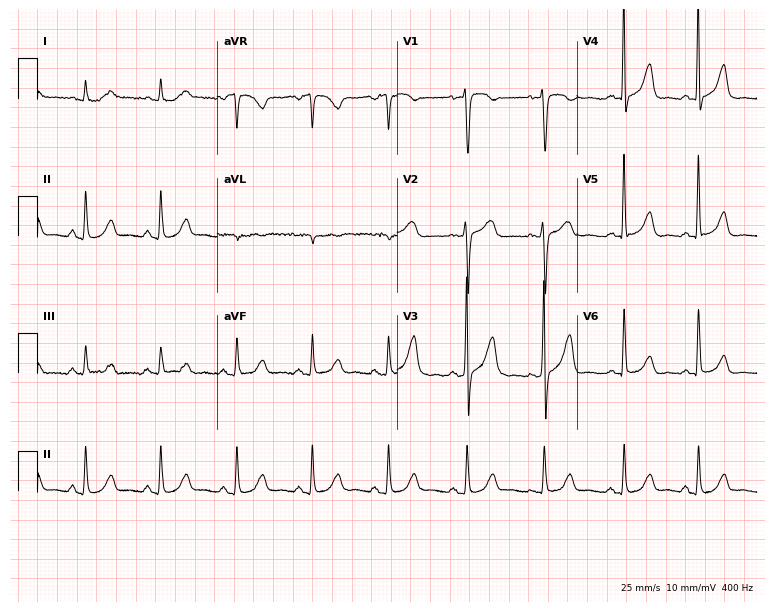
Electrocardiogram, a female patient, 62 years old. Overall reading on record: normal ECG.